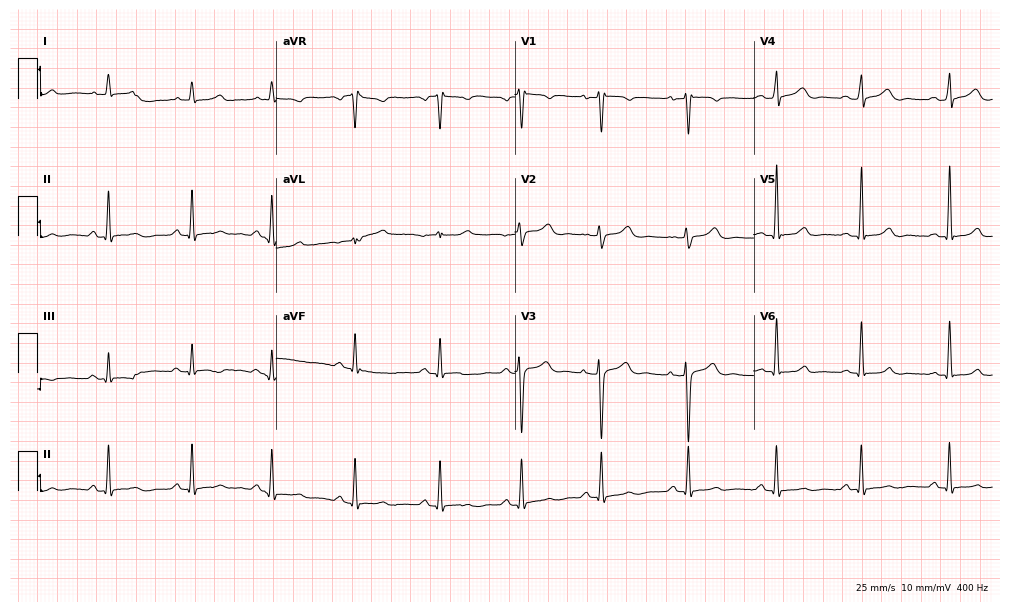
12-lead ECG from a female, 25 years old (9.7-second recording at 400 Hz). Recorded interpretation: within normal limits.